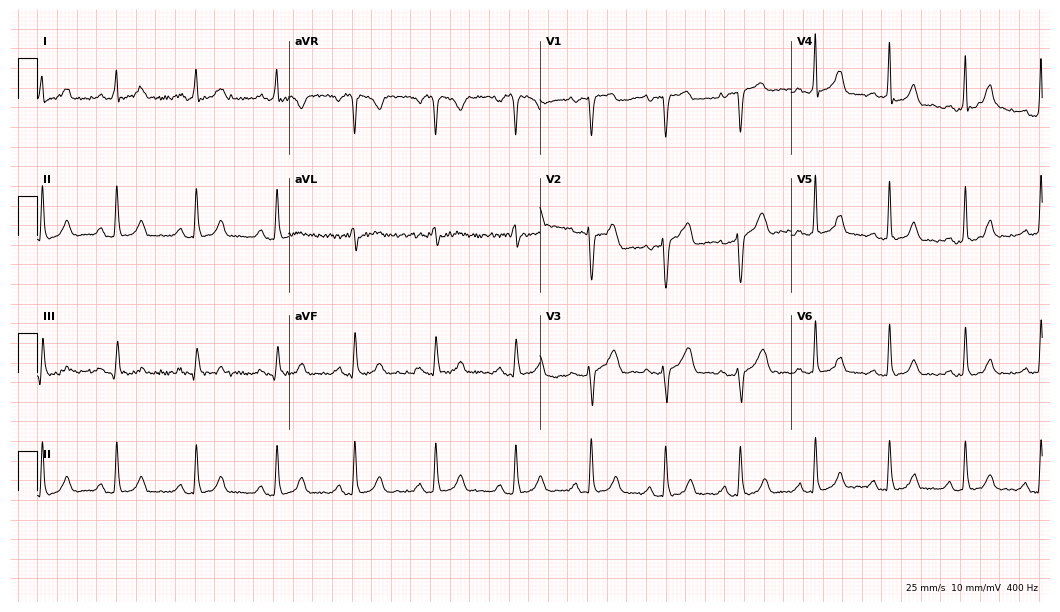
12-lead ECG from a 47-year-old male patient. Screened for six findings — first-degree AV block, right bundle branch block, left bundle branch block, sinus bradycardia, atrial fibrillation, sinus tachycardia — none is recorded. Only these six findings were labelled.